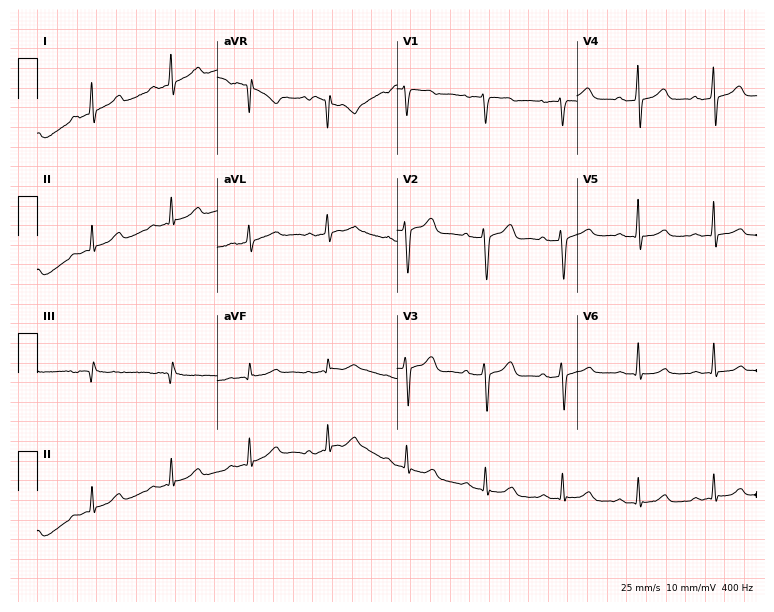
ECG — a male, 38 years old. Screened for six findings — first-degree AV block, right bundle branch block, left bundle branch block, sinus bradycardia, atrial fibrillation, sinus tachycardia — none is recorded.